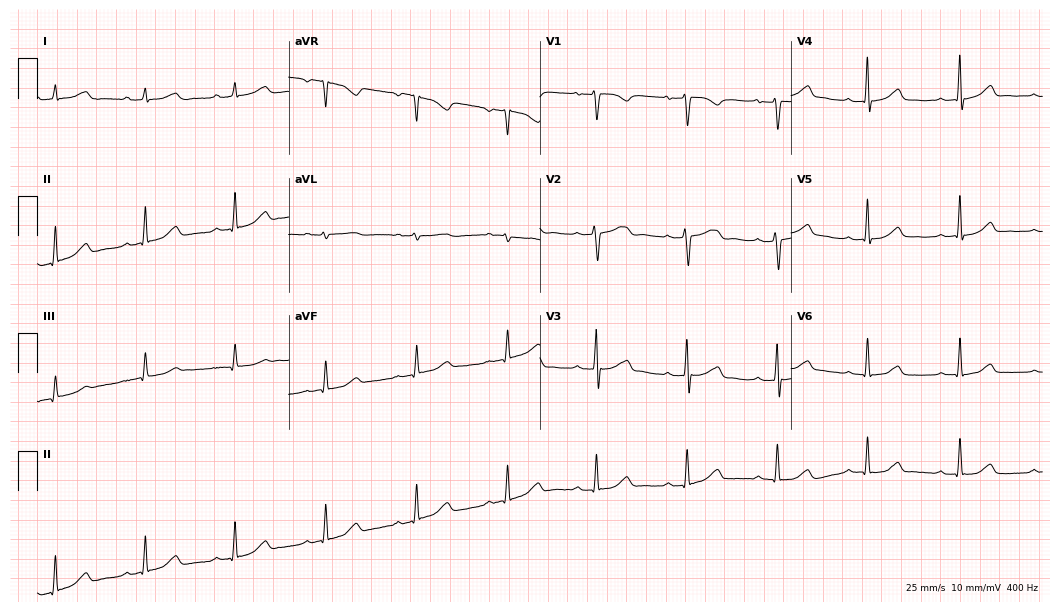
Resting 12-lead electrocardiogram (10.2-second recording at 400 Hz). Patient: a 44-year-old female. Read as a normal ECG.